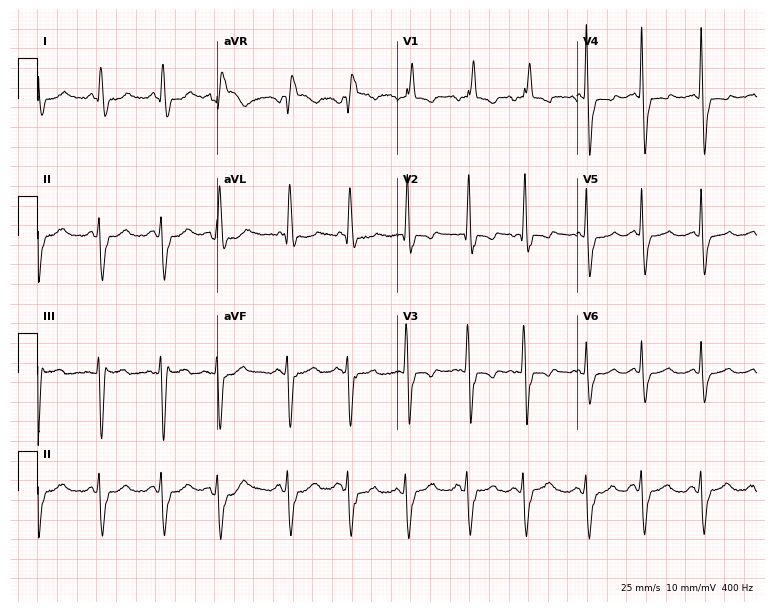
Resting 12-lead electrocardiogram. Patient: a 71-year-old woman. The tracing shows right bundle branch block.